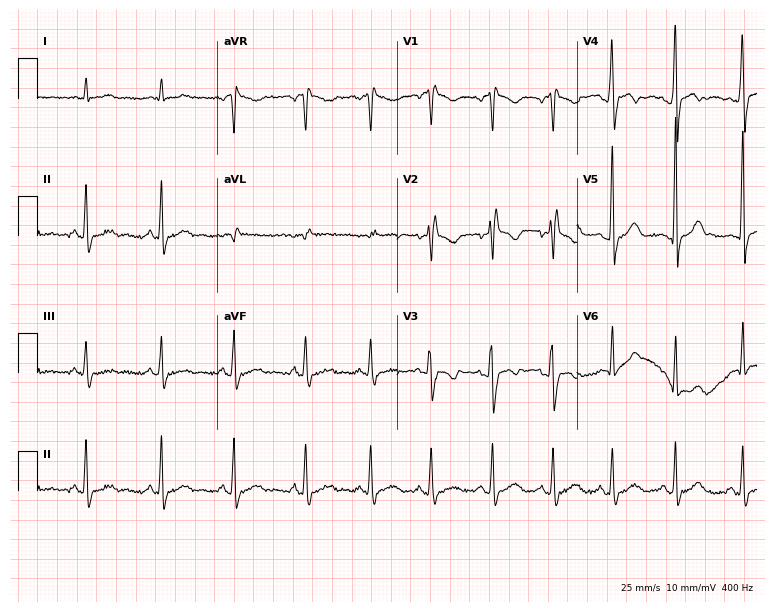
12-lead ECG from a male, 23 years old. Screened for six findings — first-degree AV block, right bundle branch block, left bundle branch block, sinus bradycardia, atrial fibrillation, sinus tachycardia — none is recorded. Other findings, if any, are not listed.